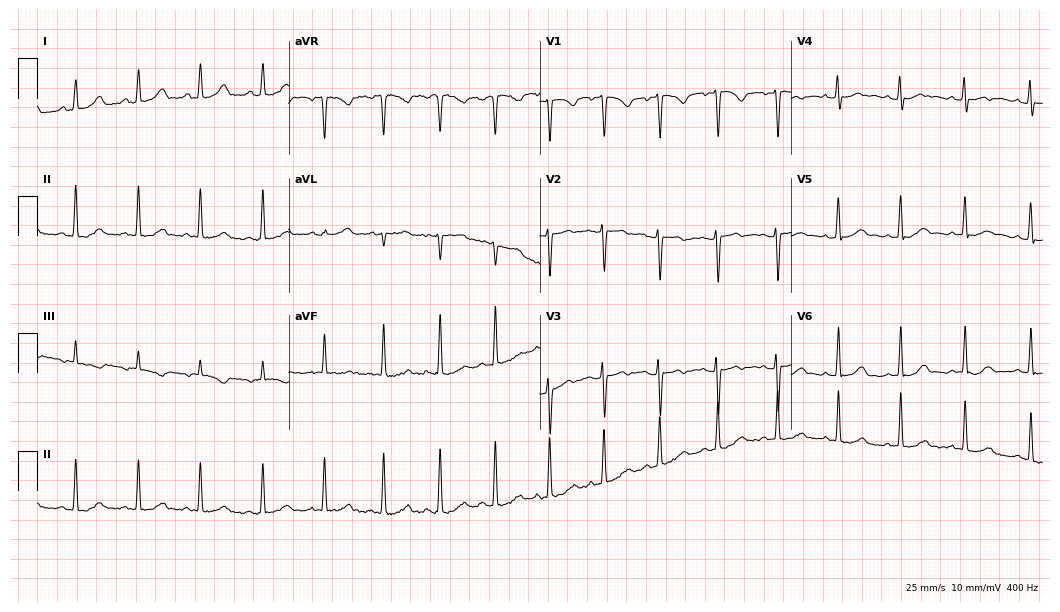
Standard 12-lead ECG recorded from a woman, 22 years old (10.2-second recording at 400 Hz). Read as a normal ECG.